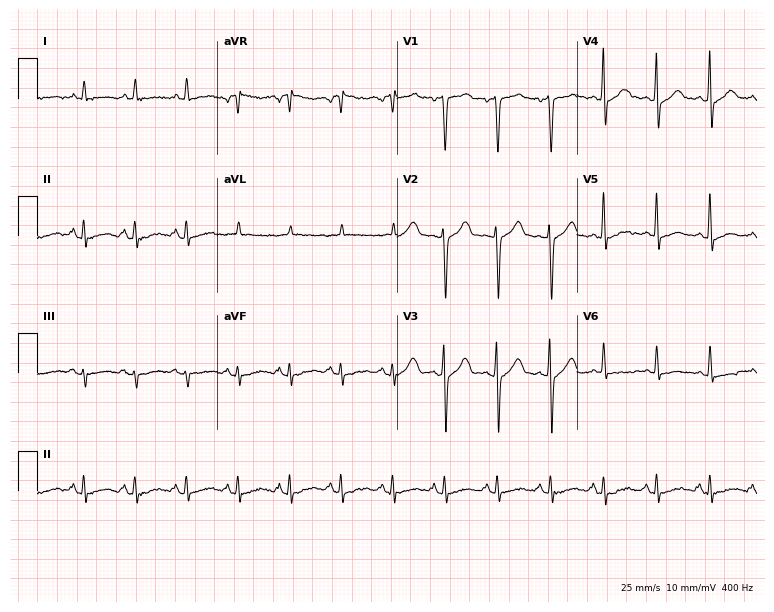
12-lead ECG from a male, 56 years old. Findings include sinus tachycardia (a sinus rate of 100 beats per minute or more).